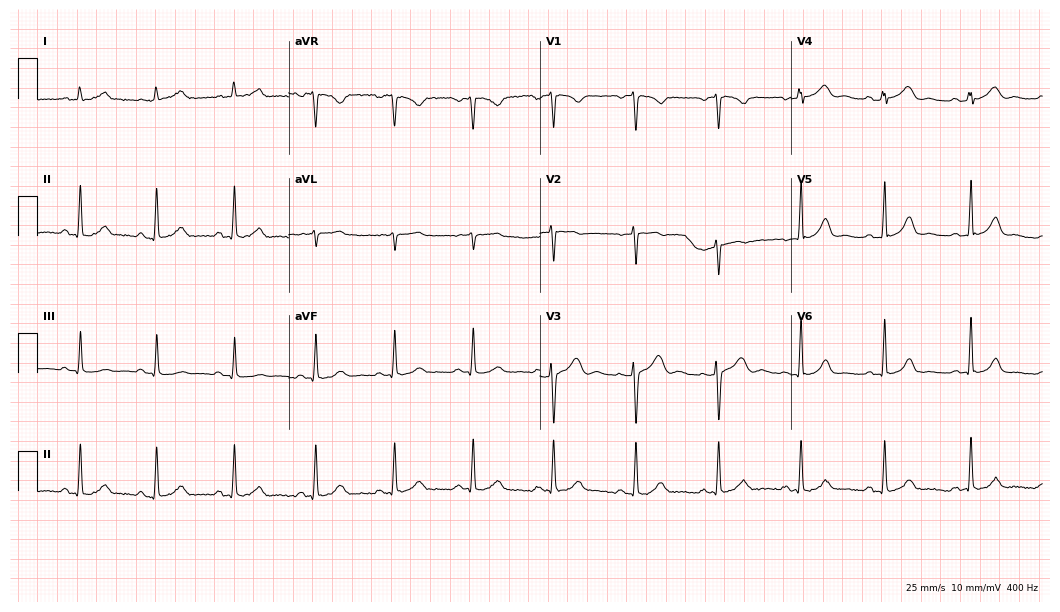
Standard 12-lead ECG recorded from a woman, 30 years old (10.2-second recording at 400 Hz). Read as a normal ECG.